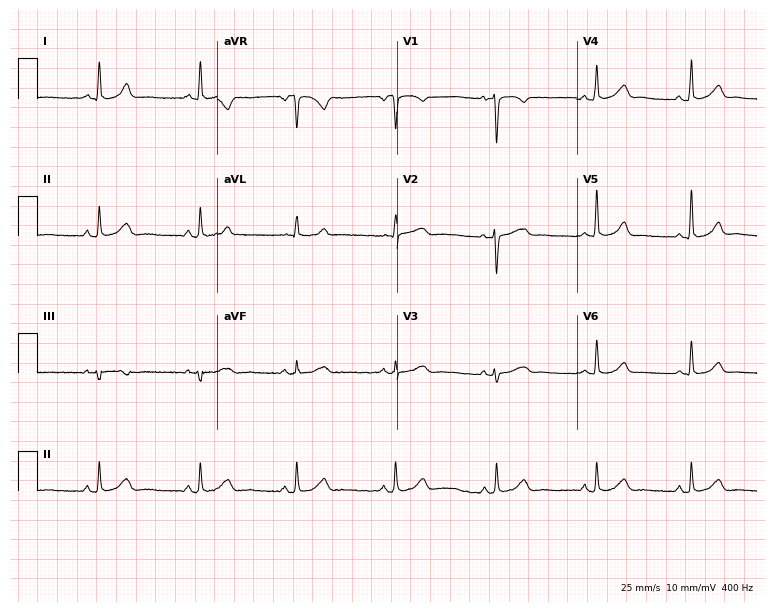
Standard 12-lead ECG recorded from a 31-year-old female. None of these six findings is recorded: first-degree AV block, right bundle branch block (RBBB), left bundle branch block (LBBB), sinus bradycardia, atrial fibrillation (AF), sinus tachycardia. Other findings, if any, are not listed.